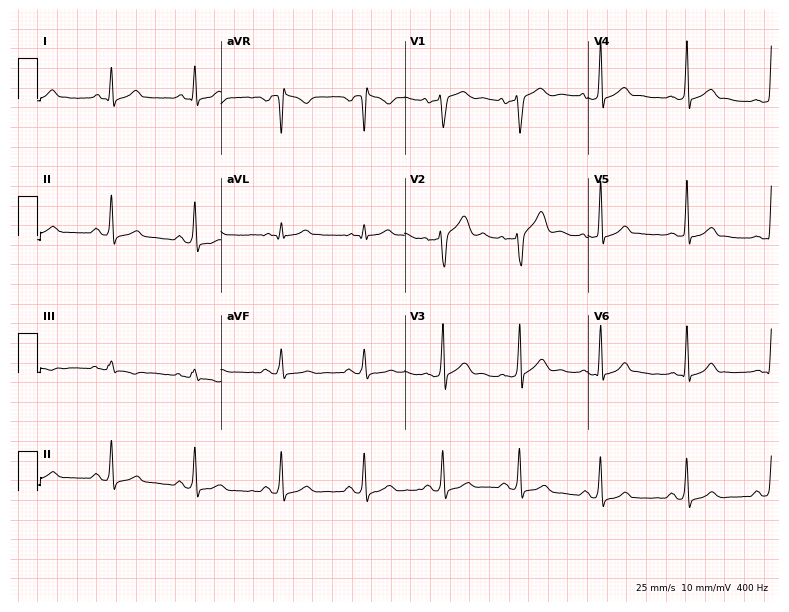
Standard 12-lead ECG recorded from a 22-year-old male. Read as a normal ECG.